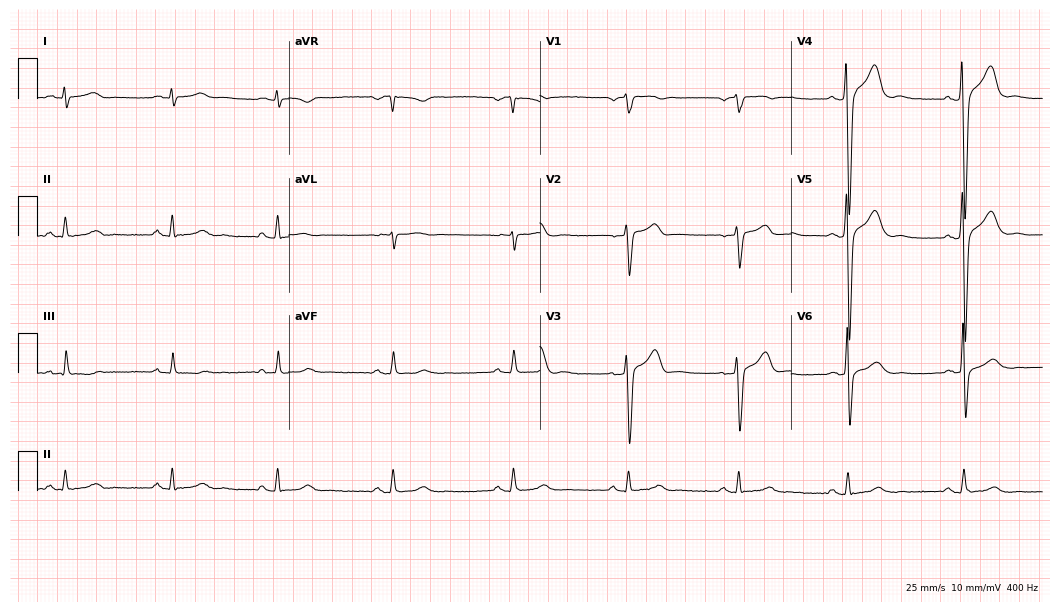
Resting 12-lead electrocardiogram. Patient: a 50-year-old man. None of these six findings is recorded: first-degree AV block, right bundle branch block, left bundle branch block, sinus bradycardia, atrial fibrillation, sinus tachycardia.